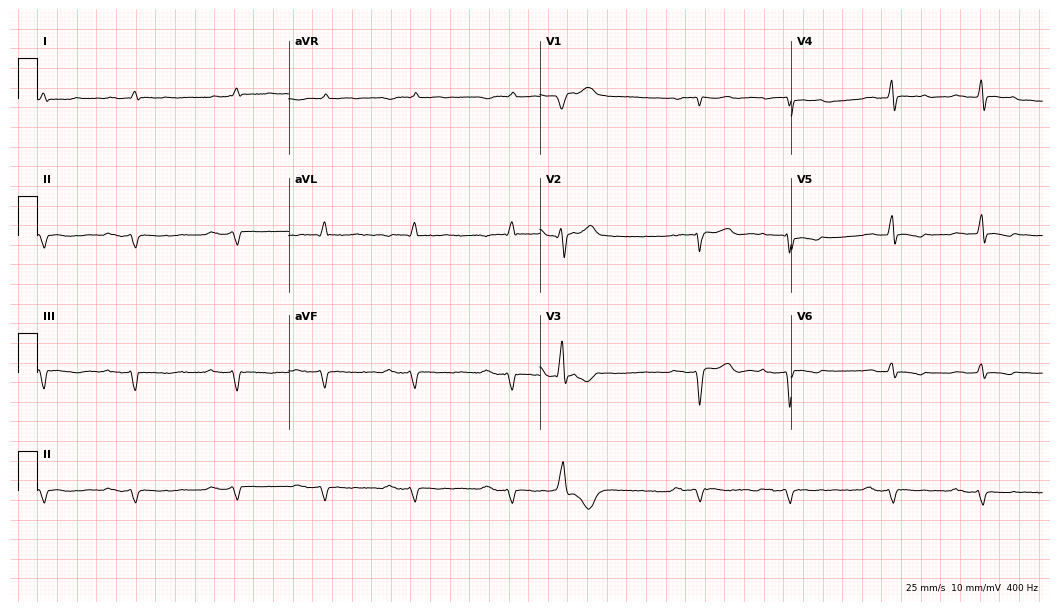
Resting 12-lead electrocardiogram (10.2-second recording at 400 Hz). Patient: a man, 66 years old. The tracing shows first-degree AV block.